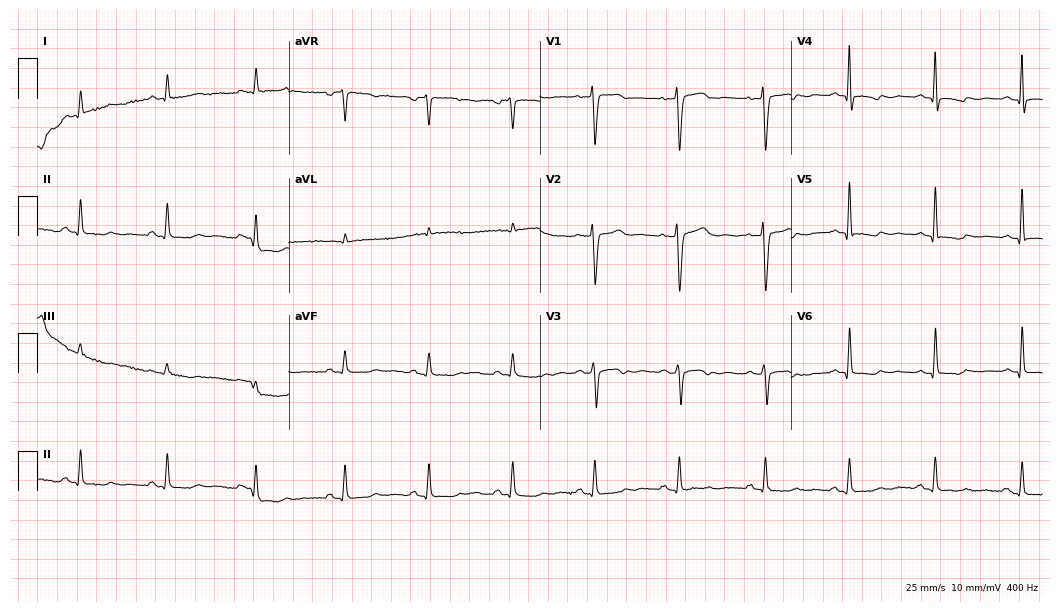
Resting 12-lead electrocardiogram (10.2-second recording at 400 Hz). Patient: a female, 51 years old. None of these six findings is recorded: first-degree AV block, right bundle branch block, left bundle branch block, sinus bradycardia, atrial fibrillation, sinus tachycardia.